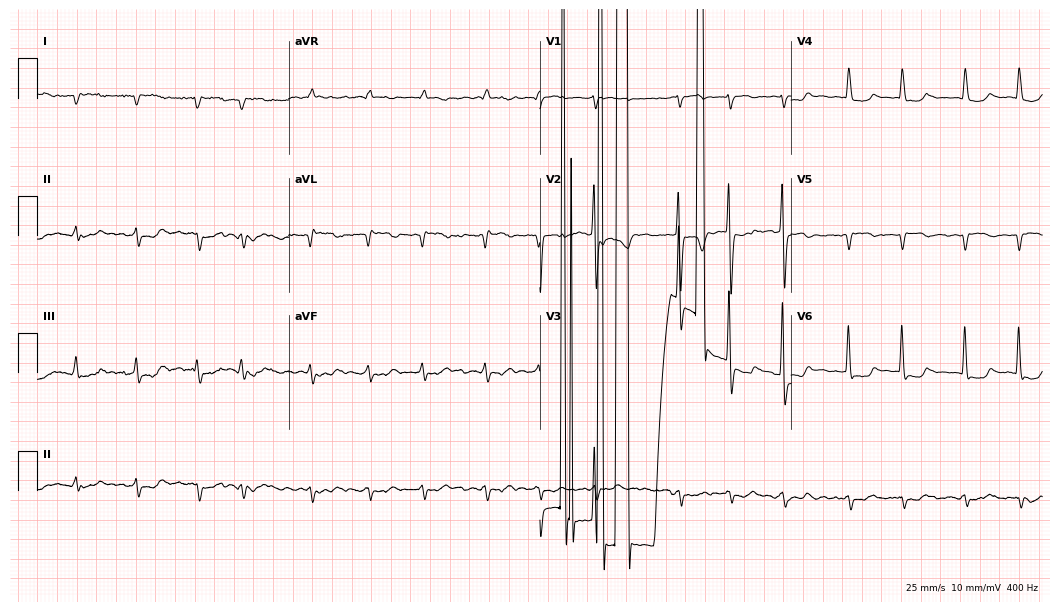
Standard 12-lead ECG recorded from a man, 80 years old (10.2-second recording at 400 Hz). None of these six findings is recorded: first-degree AV block, right bundle branch block, left bundle branch block, sinus bradycardia, atrial fibrillation, sinus tachycardia.